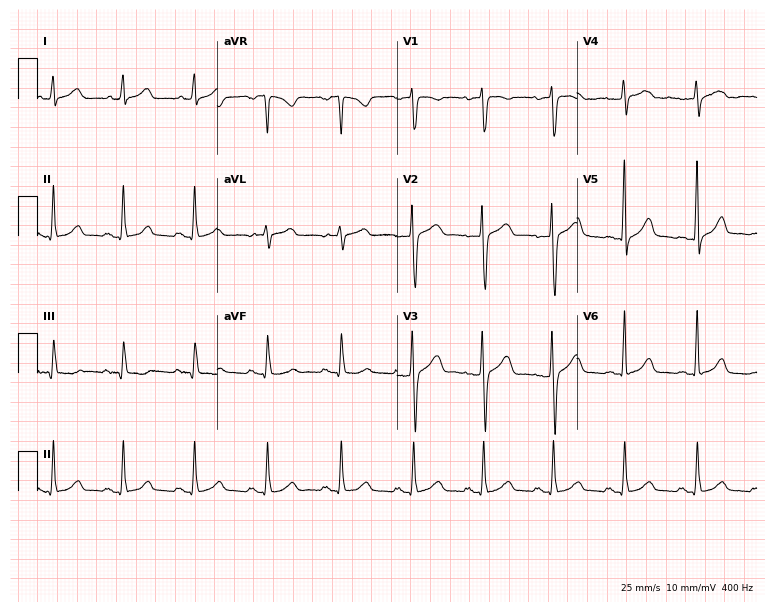
12-lead ECG from a 39-year-old woman. Labelled as a normal ECG.